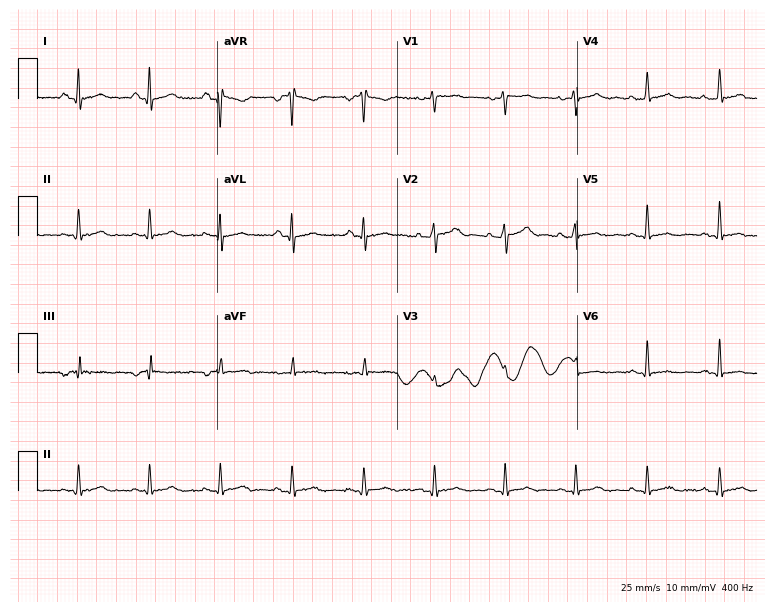
Standard 12-lead ECG recorded from a man, 29 years old. None of these six findings is recorded: first-degree AV block, right bundle branch block, left bundle branch block, sinus bradycardia, atrial fibrillation, sinus tachycardia. Findings outside these six are not listed.